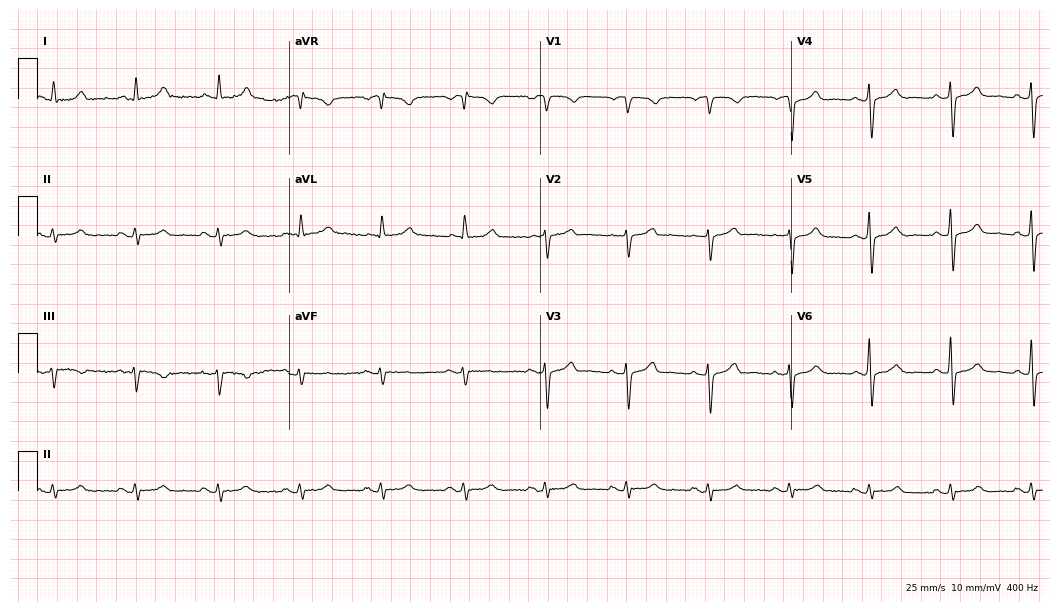
Resting 12-lead electrocardiogram. Patient: a 54-year-old male. None of these six findings is recorded: first-degree AV block, right bundle branch block, left bundle branch block, sinus bradycardia, atrial fibrillation, sinus tachycardia. Other findings, if any, are not listed.